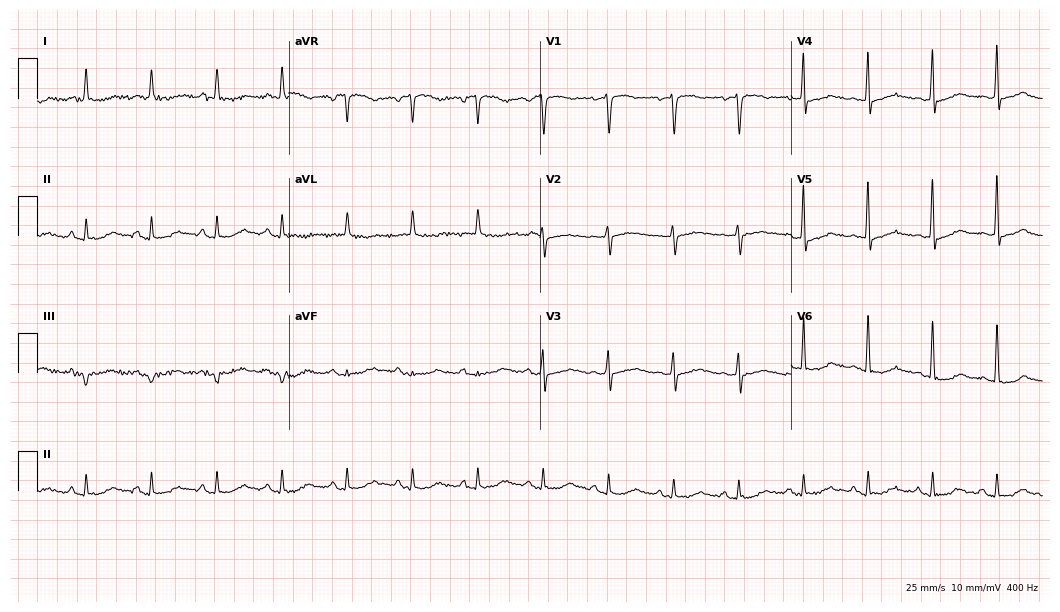
Resting 12-lead electrocardiogram. Patient: a woman, 72 years old. None of these six findings is recorded: first-degree AV block, right bundle branch block (RBBB), left bundle branch block (LBBB), sinus bradycardia, atrial fibrillation (AF), sinus tachycardia.